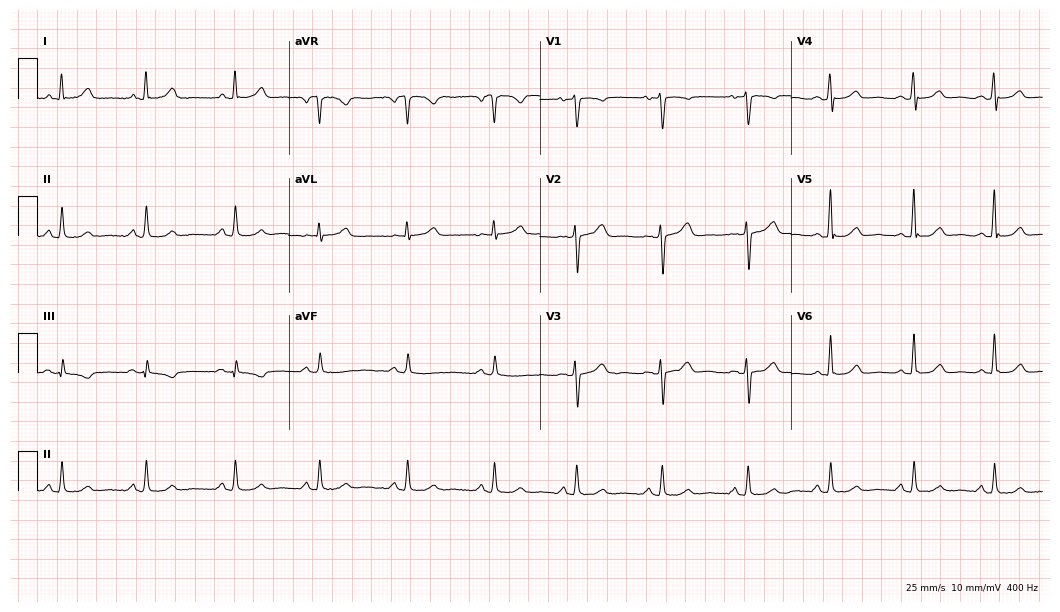
Standard 12-lead ECG recorded from a female patient, 56 years old. Read as a normal ECG.